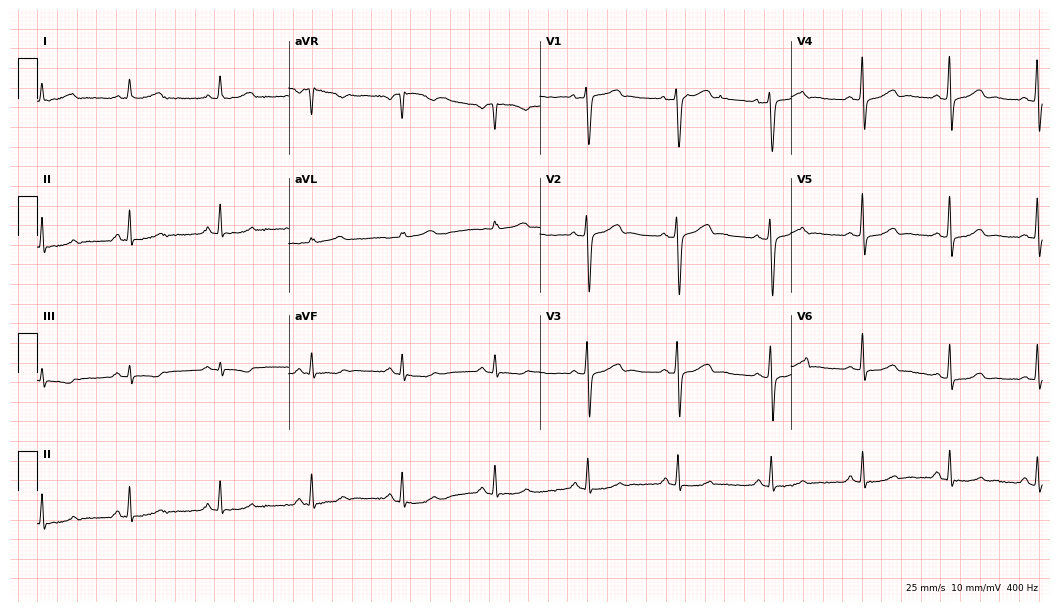
Electrocardiogram (10.2-second recording at 400 Hz), a female, 43 years old. Overall reading on record: normal ECG.